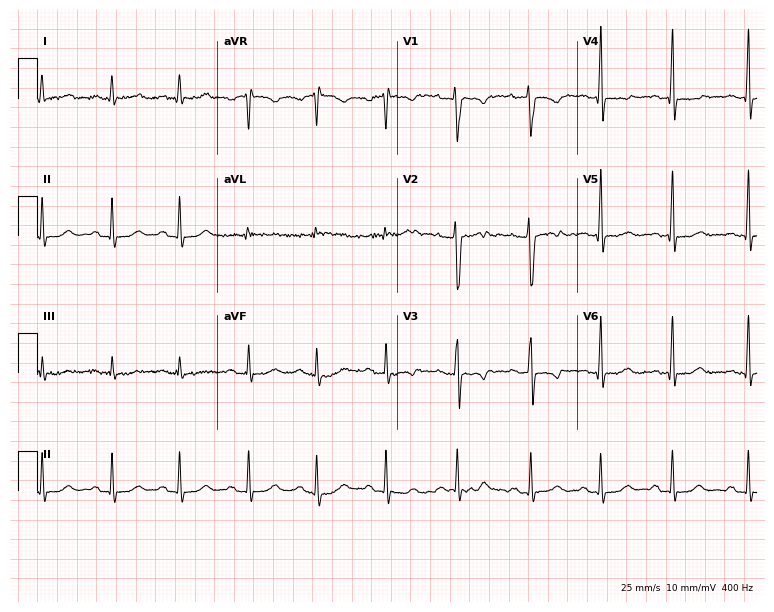
Resting 12-lead electrocardiogram. Patient: a female, 30 years old. Read as a normal ECG.